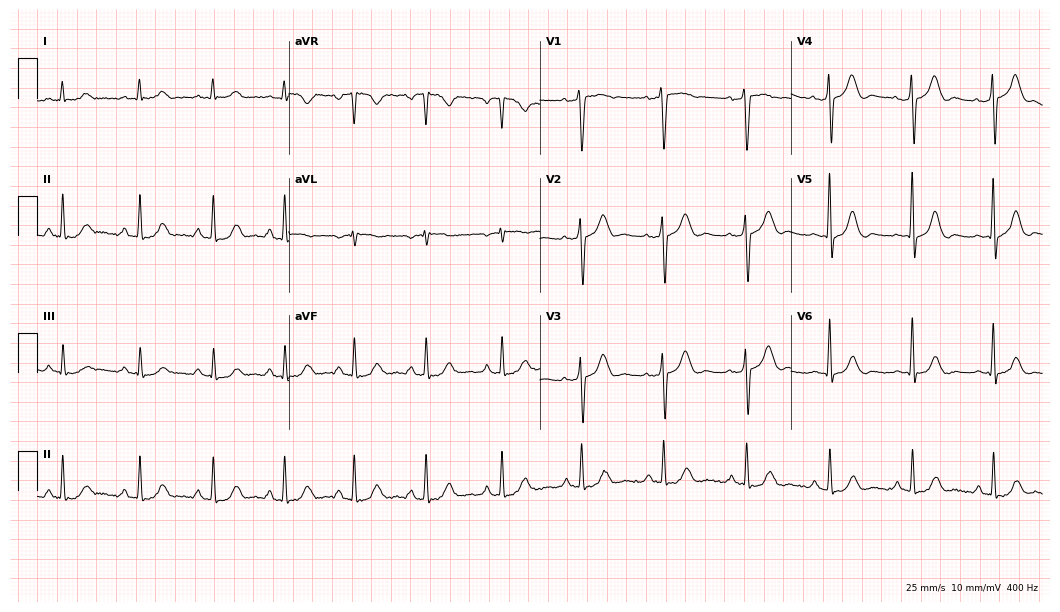
12-lead ECG from a male, 49 years old. Labelled as a normal ECG.